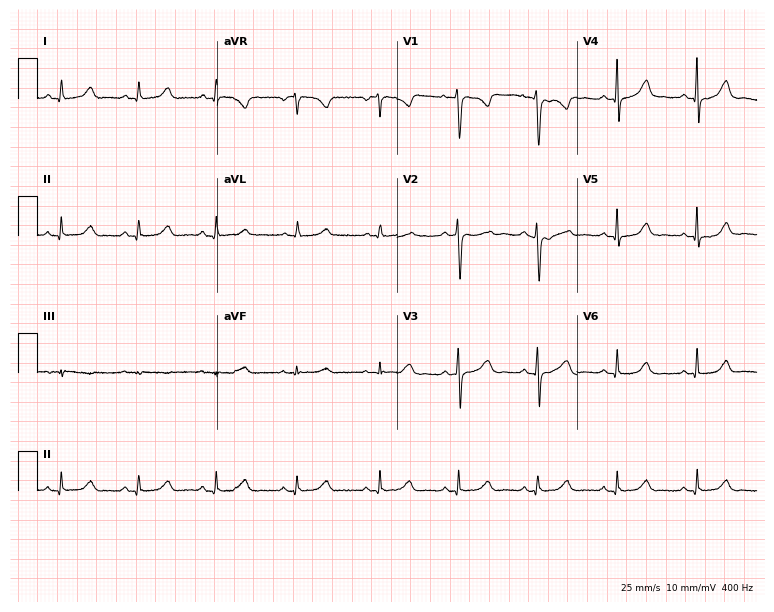
Standard 12-lead ECG recorded from a 50-year-old female. Read as a normal ECG.